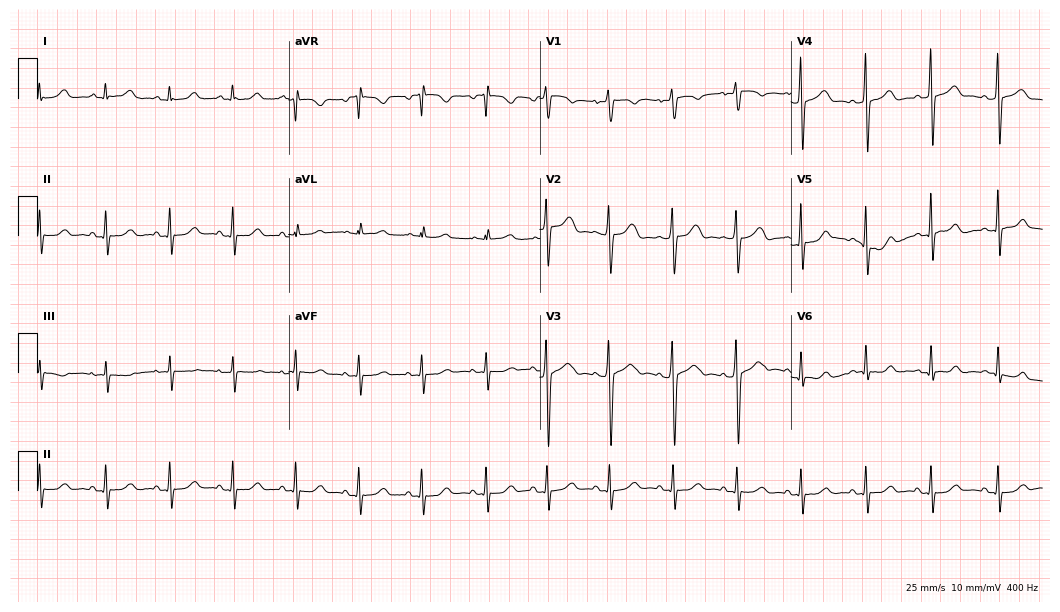
Electrocardiogram, a 24-year-old female. Overall reading on record: normal ECG.